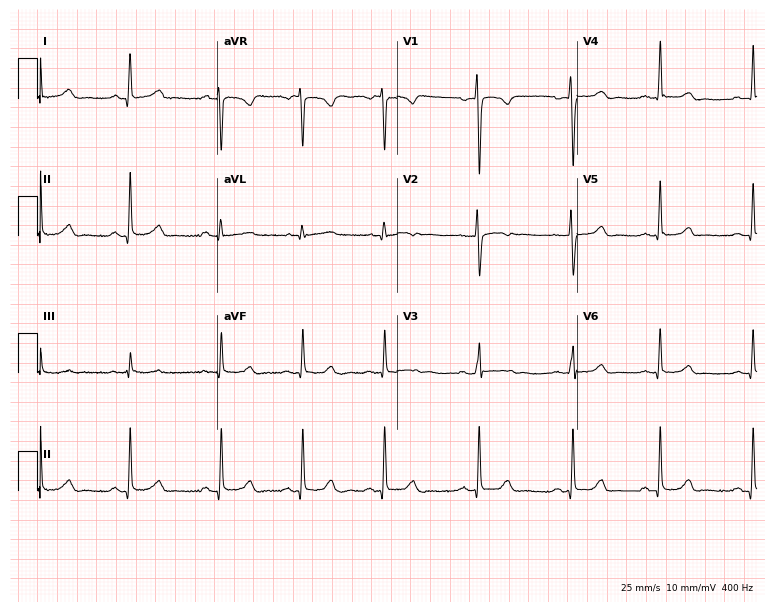
Electrocardiogram, a female, 34 years old. Overall reading on record: normal ECG.